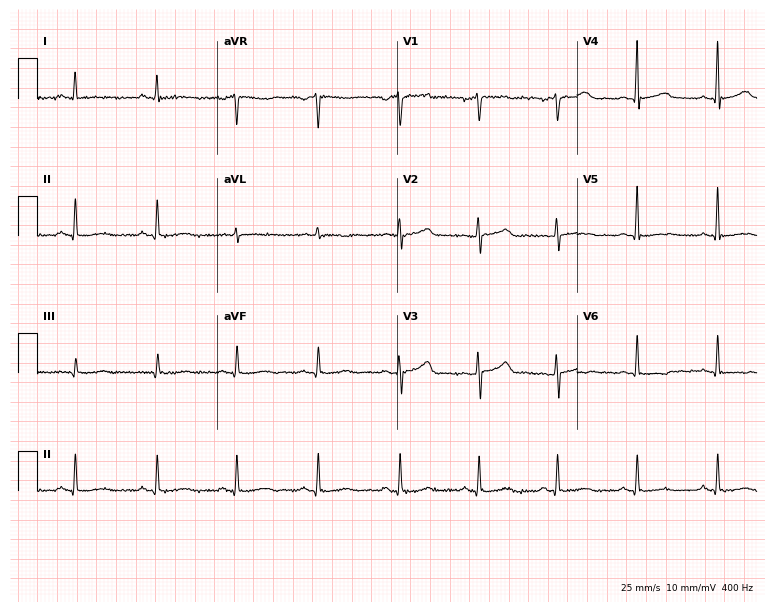
12-lead ECG (7.3-second recording at 400 Hz) from a 38-year-old woman. Screened for six findings — first-degree AV block, right bundle branch block, left bundle branch block, sinus bradycardia, atrial fibrillation, sinus tachycardia — none is recorded.